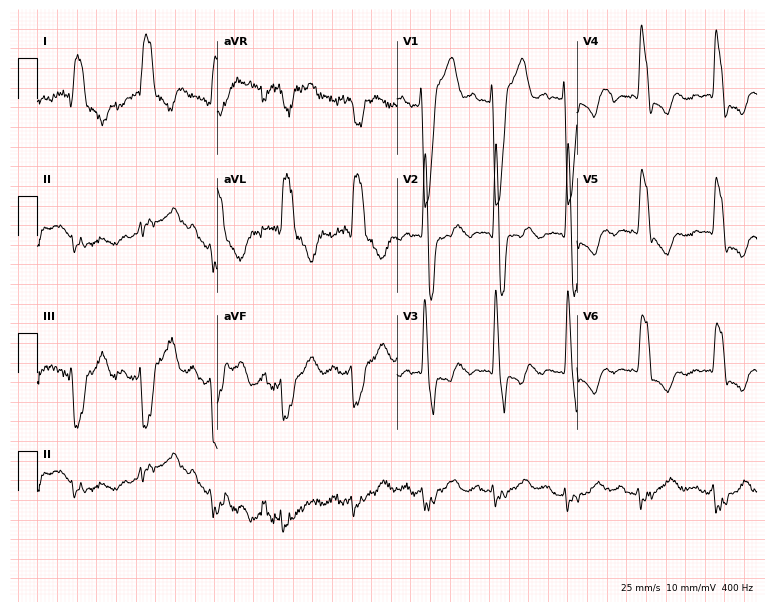
Electrocardiogram (7.3-second recording at 400 Hz), a man, 48 years old. Interpretation includes left bundle branch block.